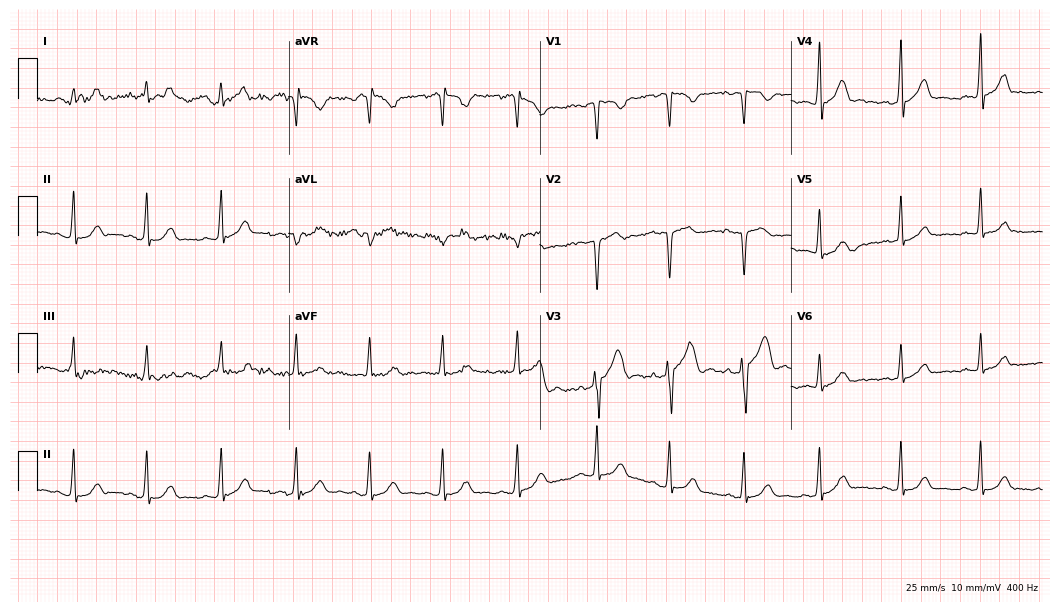
12-lead ECG from a man, 28 years old (10.2-second recording at 400 Hz). Recorded interpretation: within normal limits.